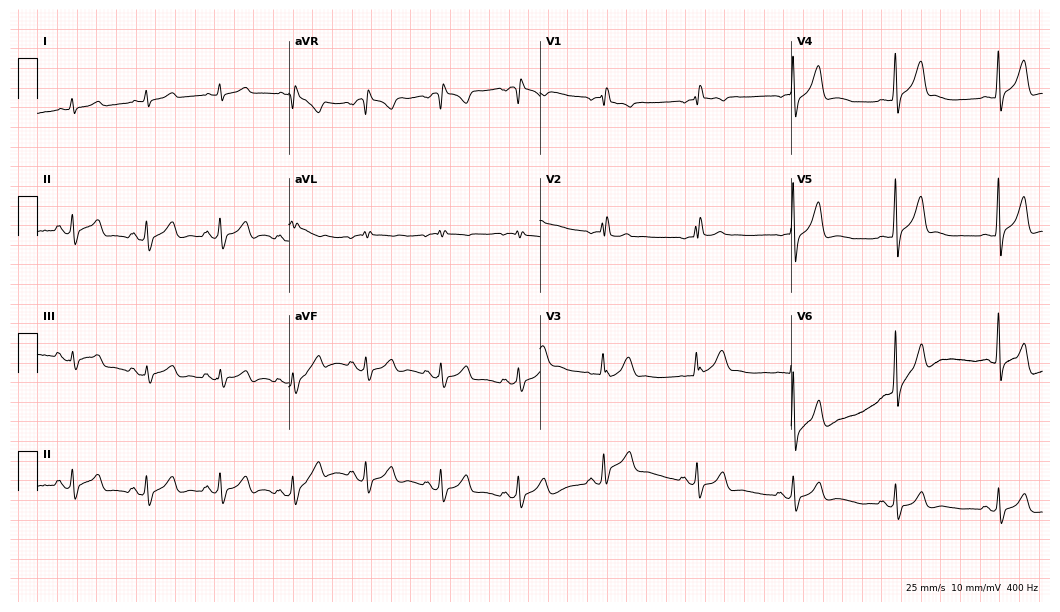
ECG — a male patient, 45 years old. Screened for six findings — first-degree AV block, right bundle branch block, left bundle branch block, sinus bradycardia, atrial fibrillation, sinus tachycardia — none is recorded.